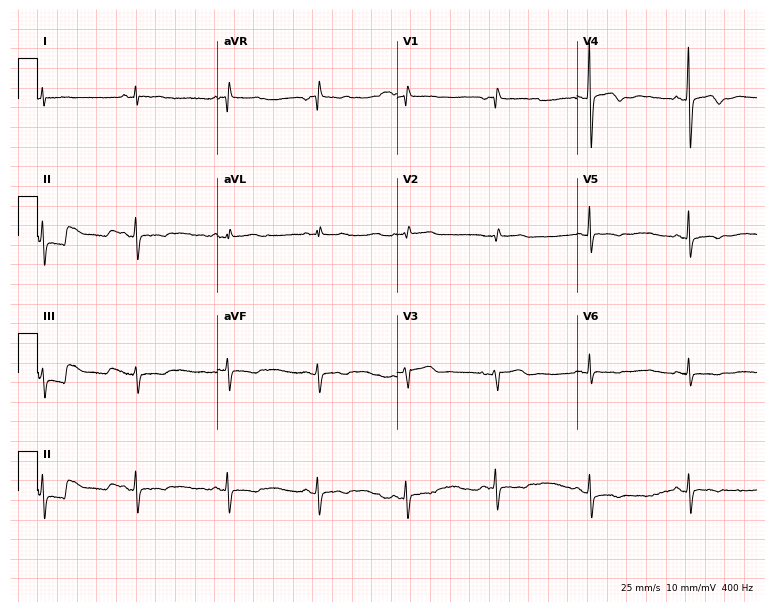
Resting 12-lead electrocardiogram. Patient: a 47-year-old woman. None of these six findings is recorded: first-degree AV block, right bundle branch block (RBBB), left bundle branch block (LBBB), sinus bradycardia, atrial fibrillation (AF), sinus tachycardia. Only these six findings were labelled.